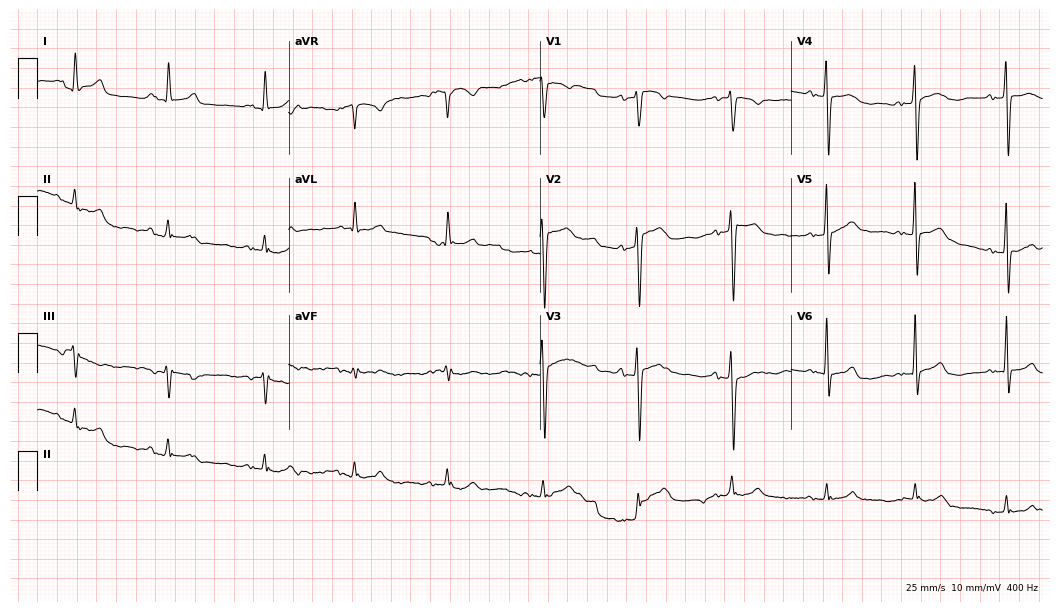
12-lead ECG (10.2-second recording at 400 Hz) from a woman, 82 years old. Labelled as a normal ECG.